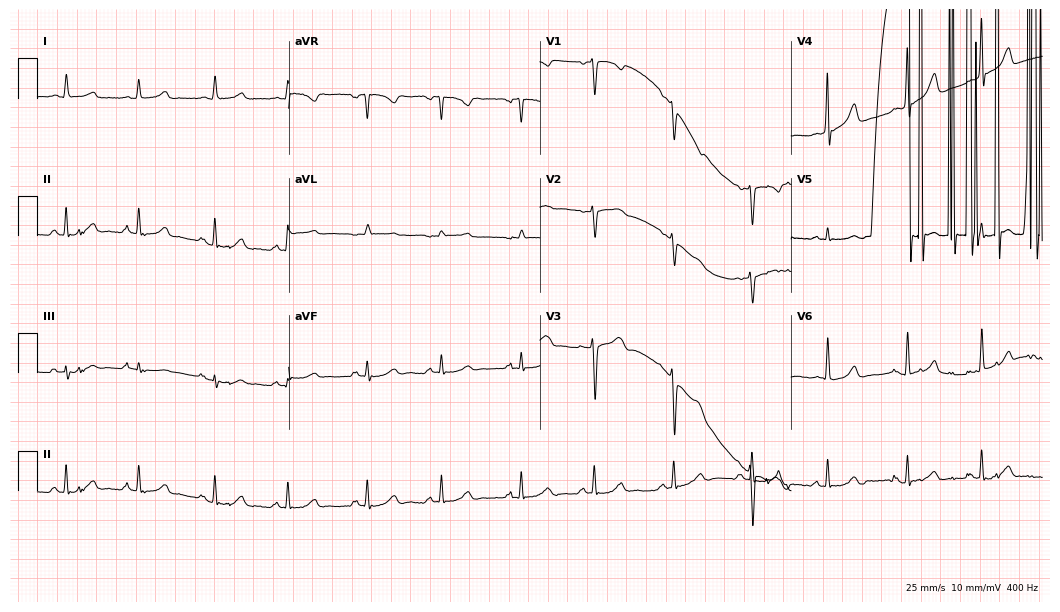
ECG (10.2-second recording at 400 Hz) — an 18-year-old female. Screened for six findings — first-degree AV block, right bundle branch block, left bundle branch block, sinus bradycardia, atrial fibrillation, sinus tachycardia — none is recorded. Findings outside these six are not listed.